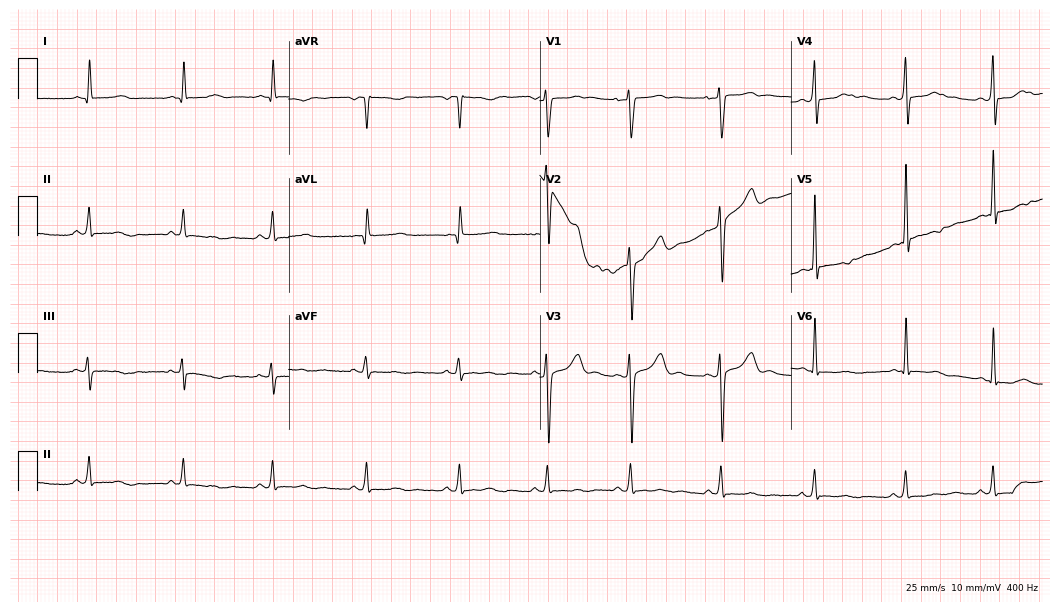
ECG — a woman, 40 years old. Screened for six findings — first-degree AV block, right bundle branch block, left bundle branch block, sinus bradycardia, atrial fibrillation, sinus tachycardia — none is recorded. Findings outside these six are not listed.